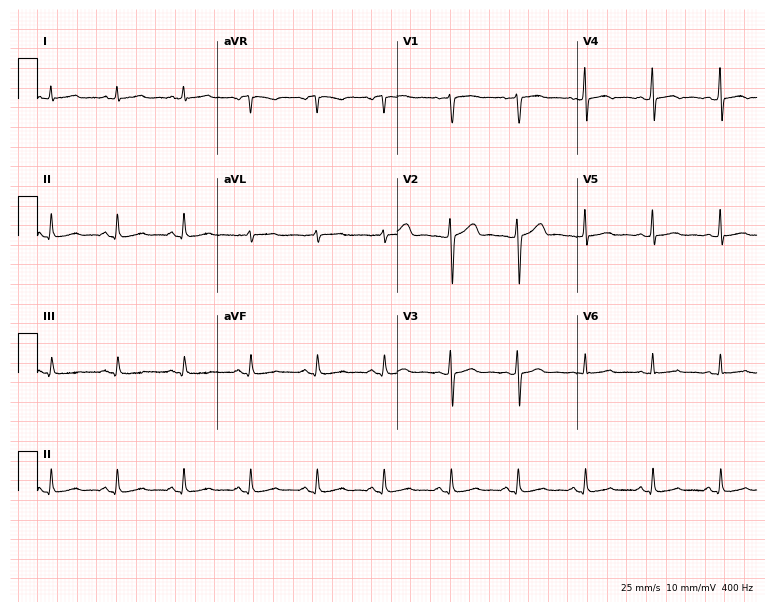
ECG — a female patient, 55 years old. Screened for six findings — first-degree AV block, right bundle branch block, left bundle branch block, sinus bradycardia, atrial fibrillation, sinus tachycardia — none is recorded. Findings outside these six are not listed.